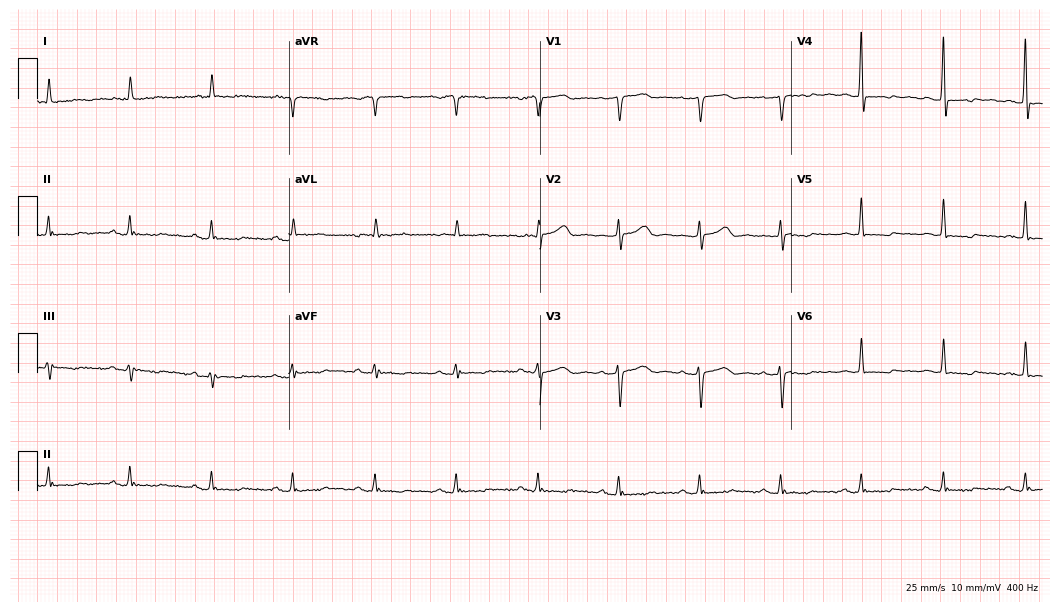
Electrocardiogram, a man, 65 years old. Overall reading on record: normal ECG.